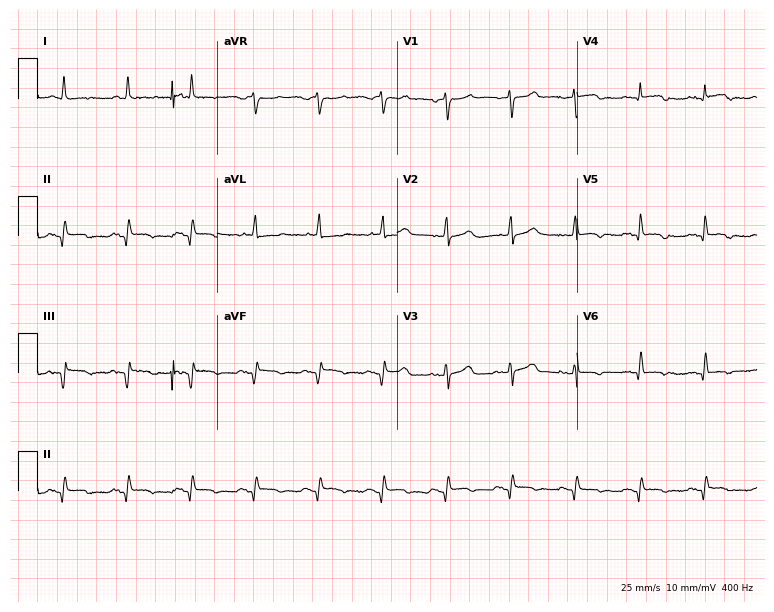
ECG (7.3-second recording at 400 Hz) — a 74-year-old female patient. Screened for six findings — first-degree AV block, right bundle branch block, left bundle branch block, sinus bradycardia, atrial fibrillation, sinus tachycardia — none is recorded.